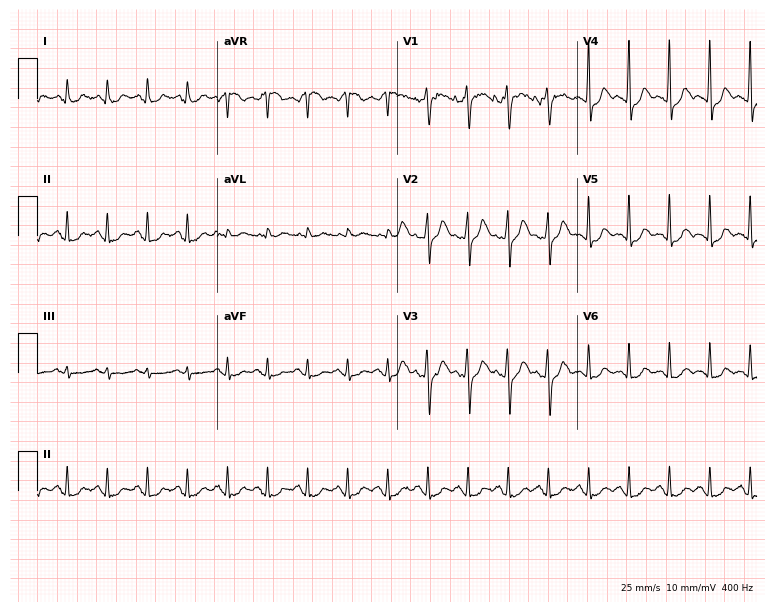
12-lead ECG from a female, 61 years old. Findings include sinus tachycardia (a sinus rate of 100 beats per minute or more).